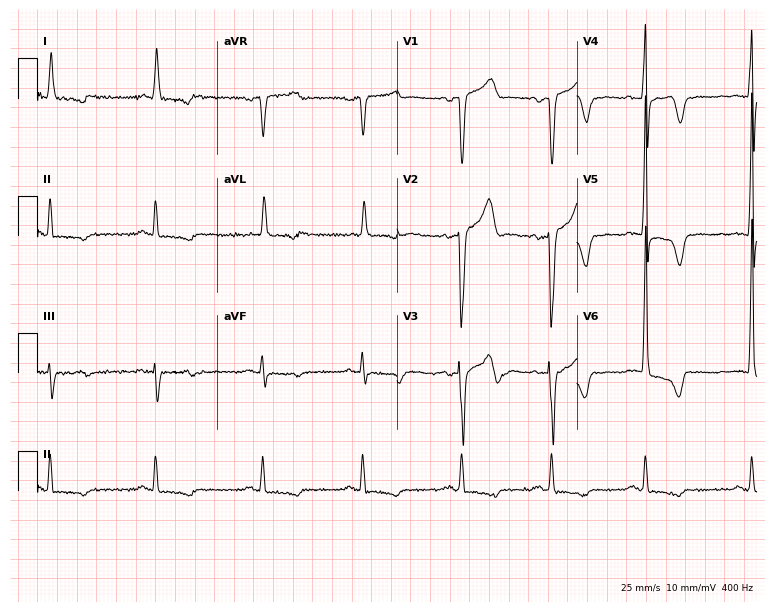
Resting 12-lead electrocardiogram. Patient: a male, 70 years old. None of these six findings is recorded: first-degree AV block, right bundle branch block, left bundle branch block, sinus bradycardia, atrial fibrillation, sinus tachycardia. Other findings, if any, are not listed.